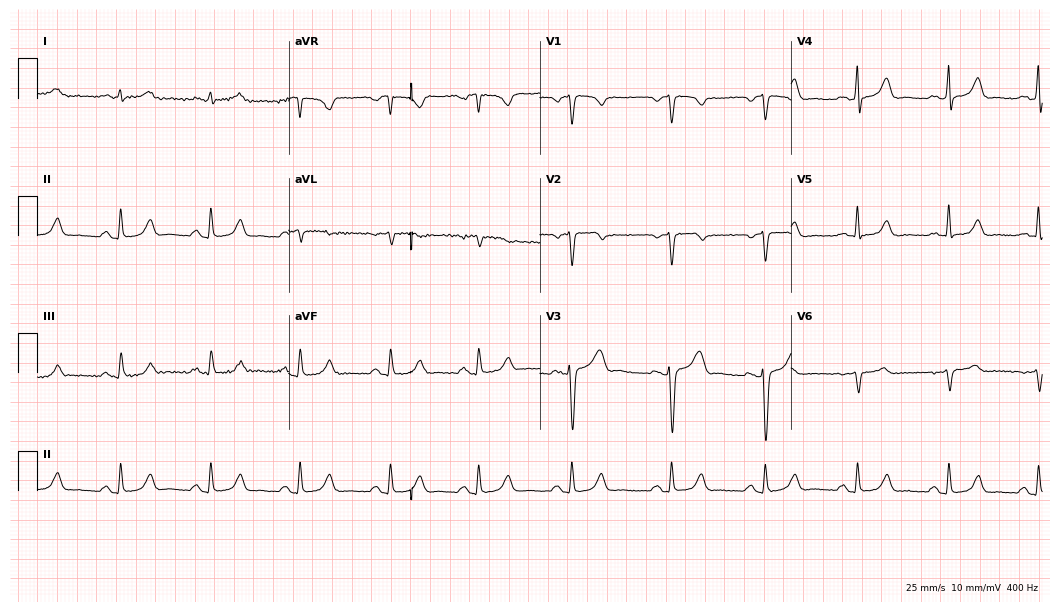
ECG (10.2-second recording at 400 Hz) — a 49-year-old male. Screened for six findings — first-degree AV block, right bundle branch block (RBBB), left bundle branch block (LBBB), sinus bradycardia, atrial fibrillation (AF), sinus tachycardia — none is recorded. Only these six findings were labelled.